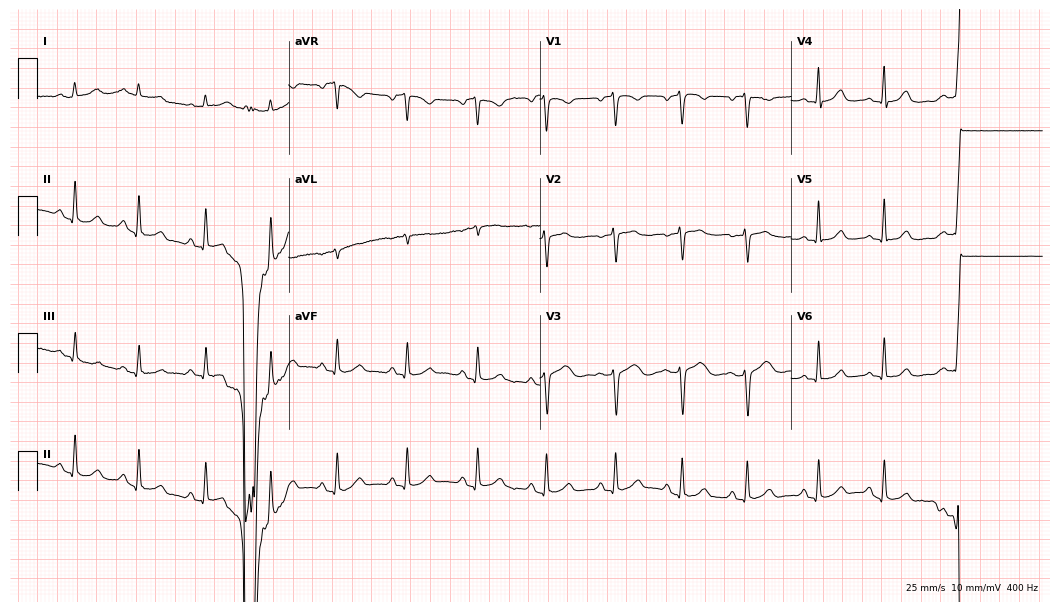
Electrocardiogram, a woman, 47 years old. Overall reading on record: normal ECG.